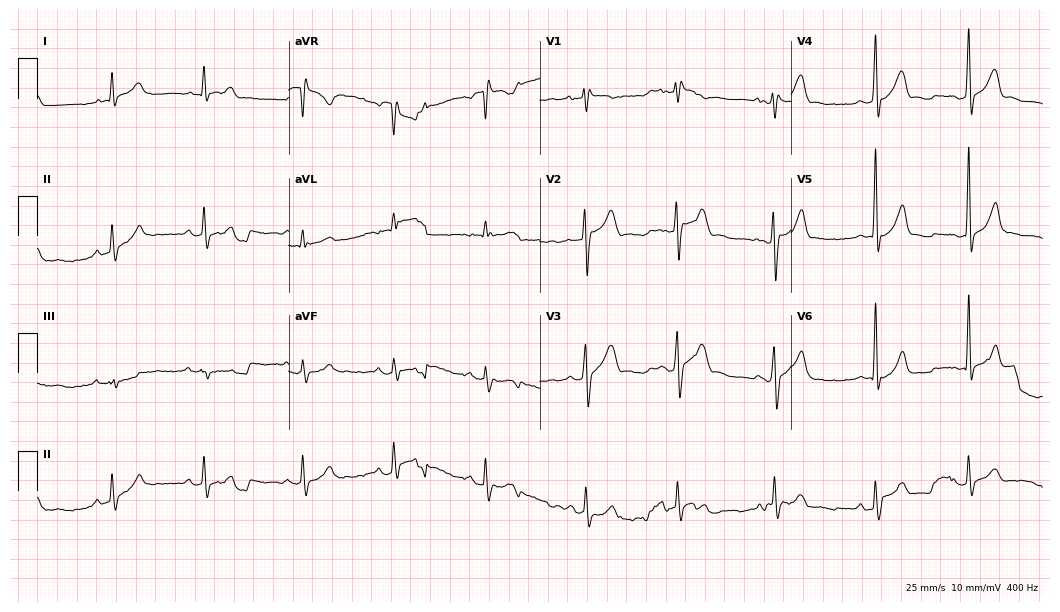
ECG (10.2-second recording at 400 Hz) — a man, 20 years old. Screened for six findings — first-degree AV block, right bundle branch block, left bundle branch block, sinus bradycardia, atrial fibrillation, sinus tachycardia — none is recorded.